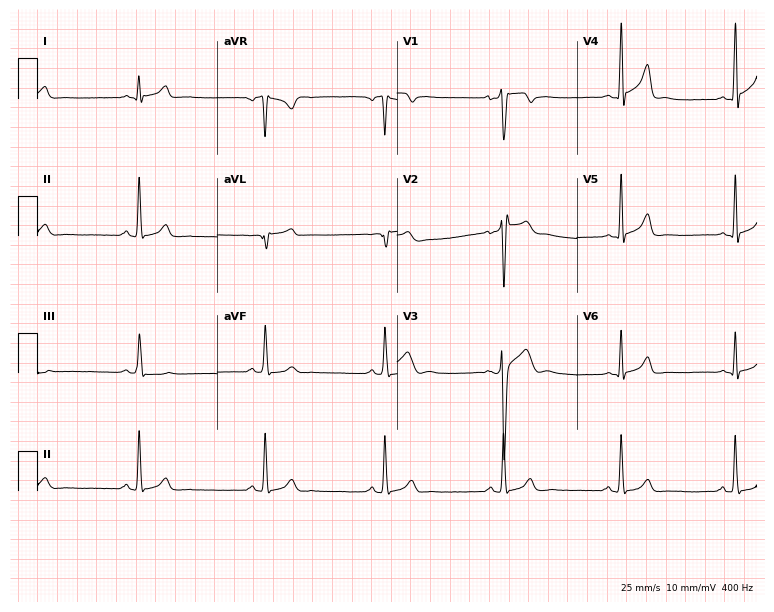
12-lead ECG from a male patient, 28 years old. No first-degree AV block, right bundle branch block, left bundle branch block, sinus bradycardia, atrial fibrillation or sinus tachycardia recorded for this tracing.